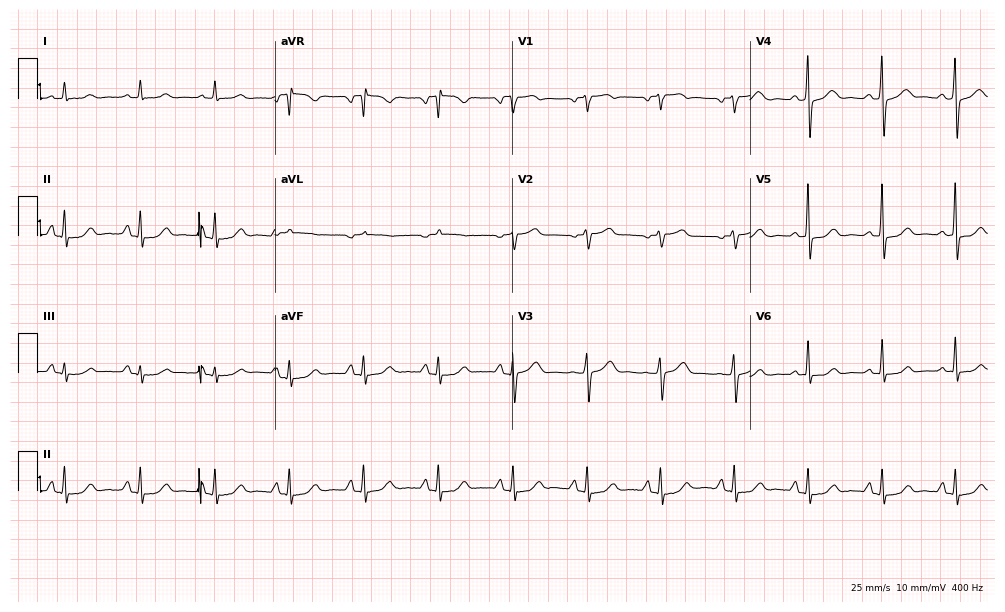
12-lead ECG from a female, 76 years old. No first-degree AV block, right bundle branch block, left bundle branch block, sinus bradycardia, atrial fibrillation or sinus tachycardia recorded for this tracing. Findings outside these six are not listed.